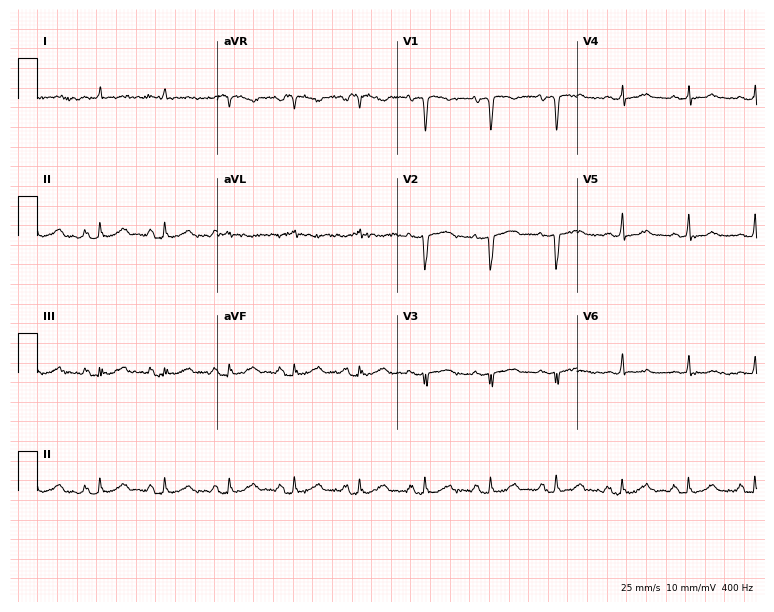
Resting 12-lead electrocardiogram (7.3-second recording at 400 Hz). Patient: a male, 81 years old. None of these six findings is recorded: first-degree AV block, right bundle branch block, left bundle branch block, sinus bradycardia, atrial fibrillation, sinus tachycardia. Only these six findings were labelled.